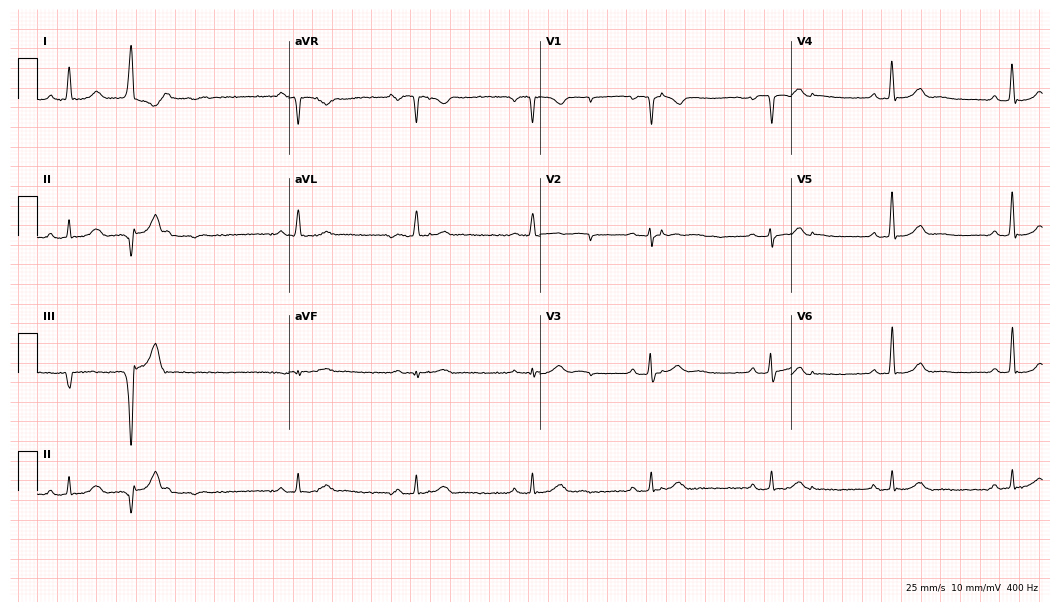
12-lead ECG (10.2-second recording at 400 Hz) from a 57-year-old male patient. Findings include first-degree AV block, right bundle branch block, sinus bradycardia (a sinus rate of 50 beats per minute or less).